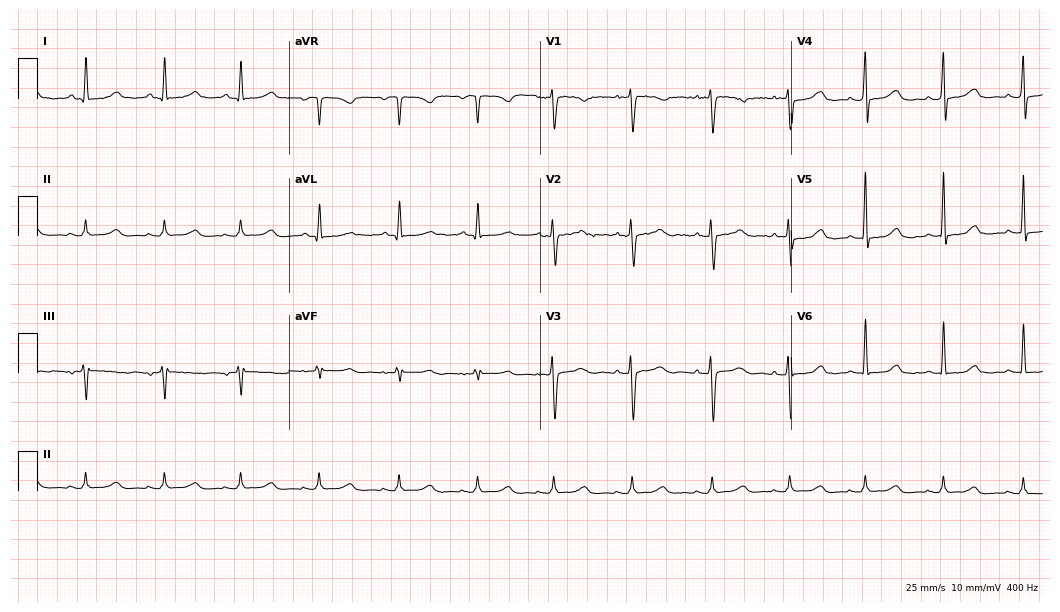
Standard 12-lead ECG recorded from a 46-year-old woman. None of these six findings is recorded: first-degree AV block, right bundle branch block (RBBB), left bundle branch block (LBBB), sinus bradycardia, atrial fibrillation (AF), sinus tachycardia. Other findings, if any, are not listed.